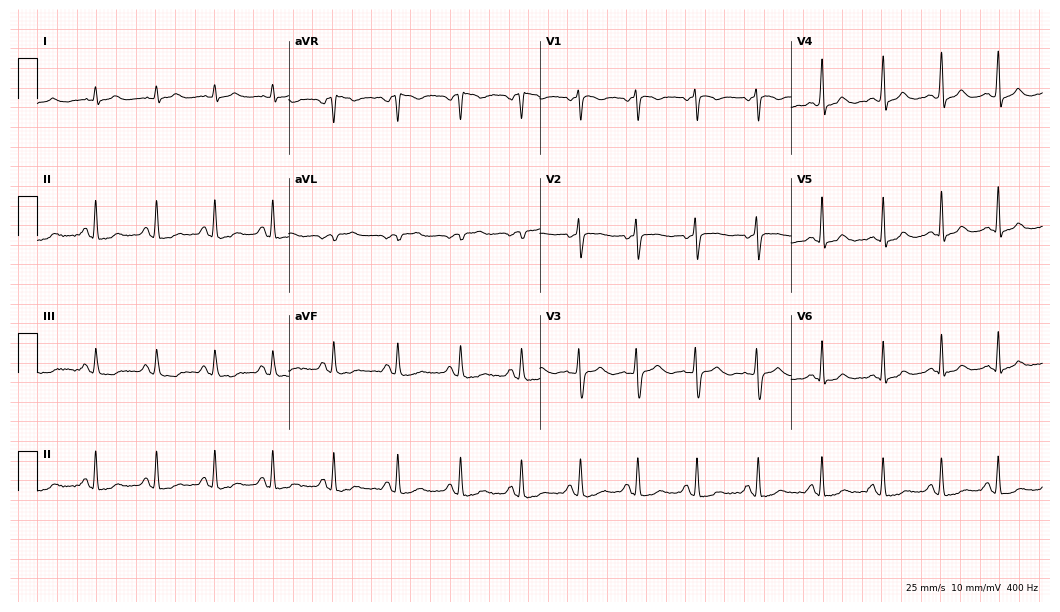
Electrocardiogram (10.2-second recording at 400 Hz), a 31-year-old female patient. Overall reading on record: normal ECG.